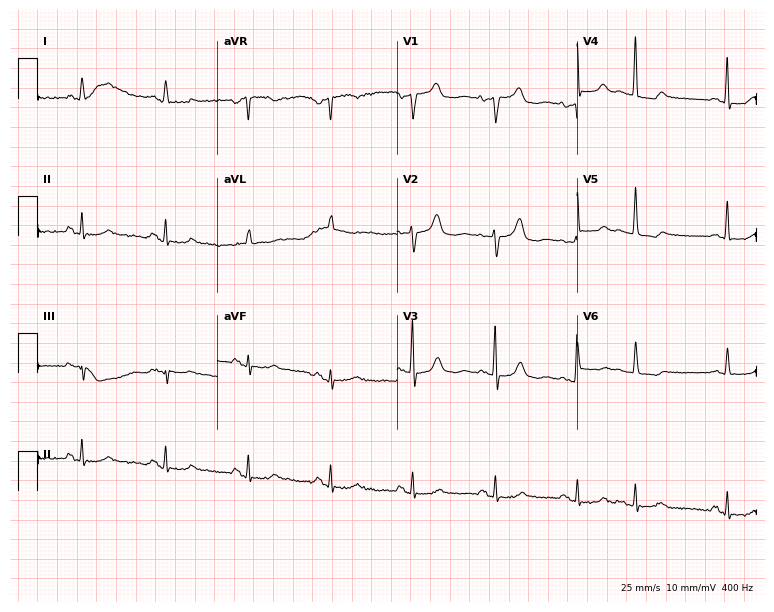
Electrocardiogram, a female, 73 years old. Of the six screened findings (first-degree AV block, right bundle branch block (RBBB), left bundle branch block (LBBB), sinus bradycardia, atrial fibrillation (AF), sinus tachycardia), none is recorded. Findings outside these six are not listed.